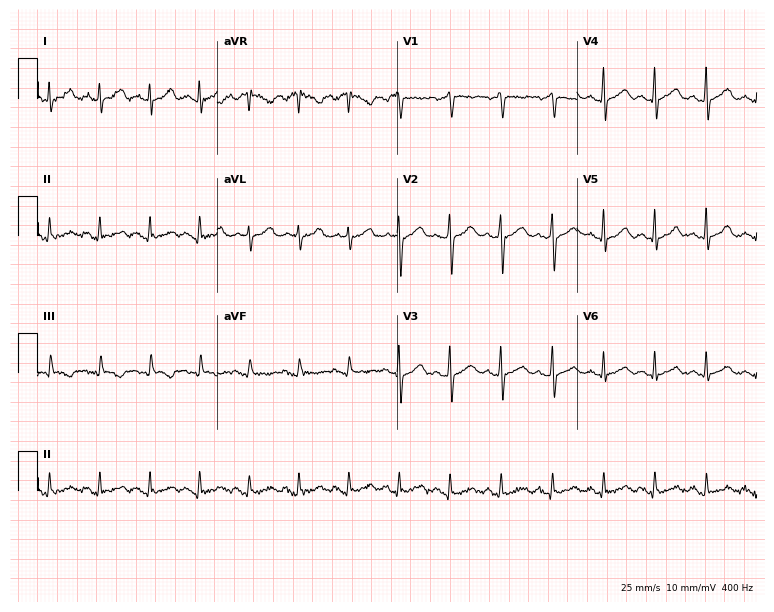
12-lead ECG from a 53-year-old woman. Findings include sinus tachycardia (a sinus rate of 100 beats per minute or more).